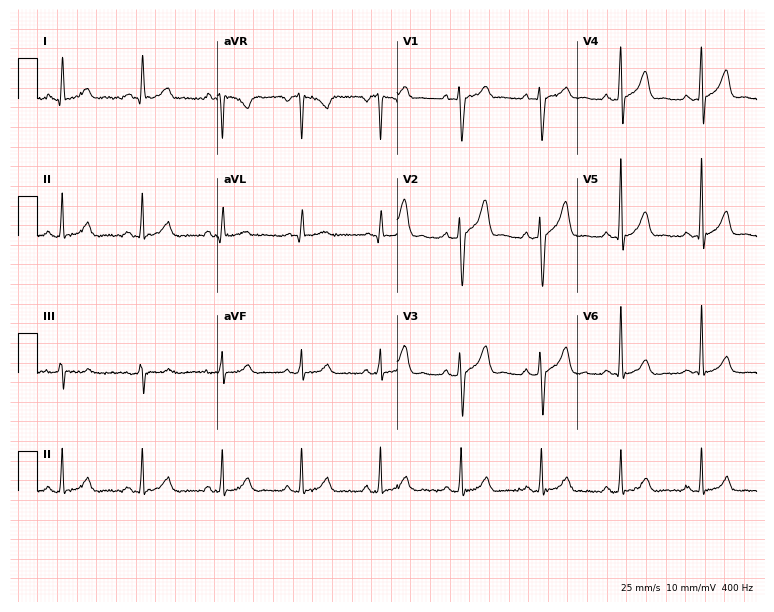
ECG — a 74-year-old man. Labelled as a normal ECG.